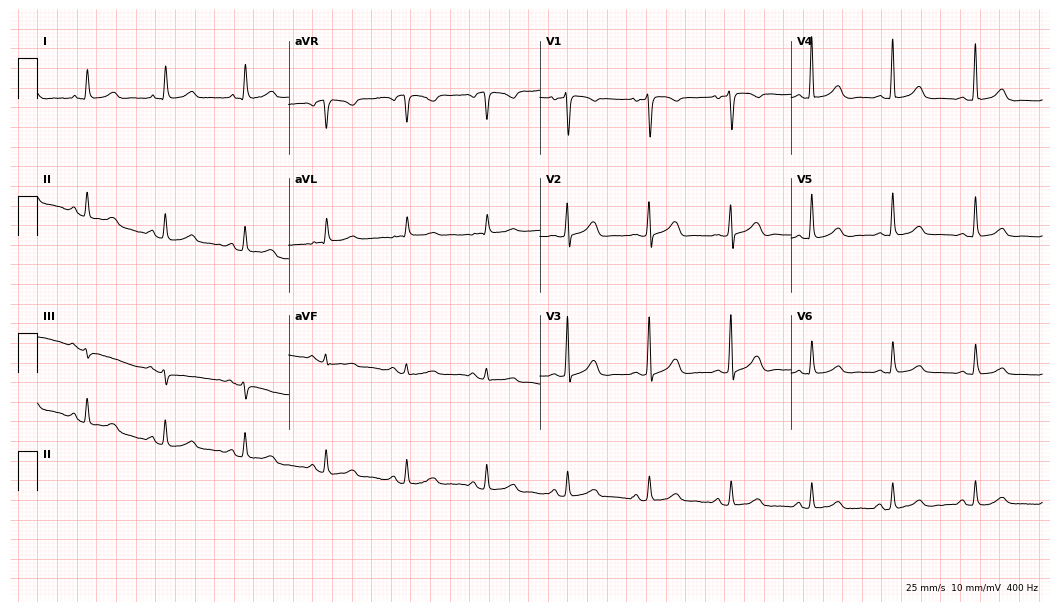
Electrocardiogram, a 73-year-old woman. Overall reading on record: normal ECG.